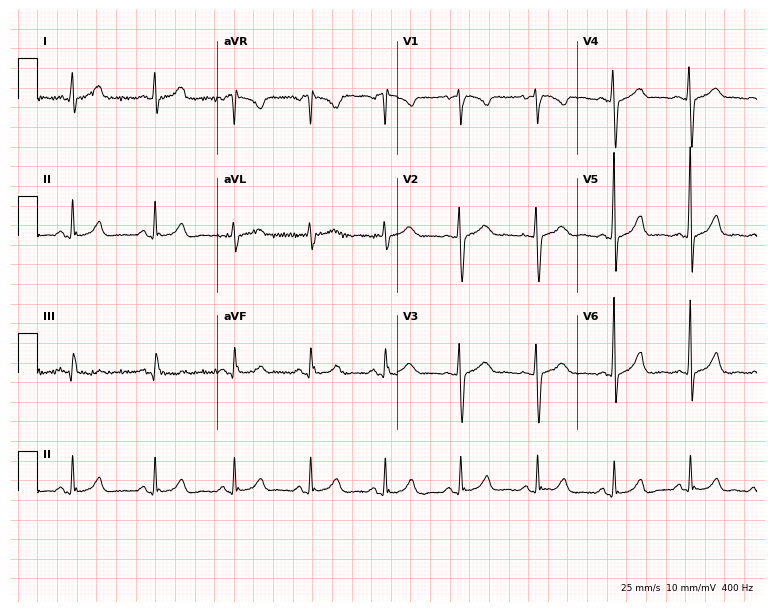
Resting 12-lead electrocardiogram (7.3-second recording at 400 Hz). Patient: a 44-year-old female. Read as a normal ECG.